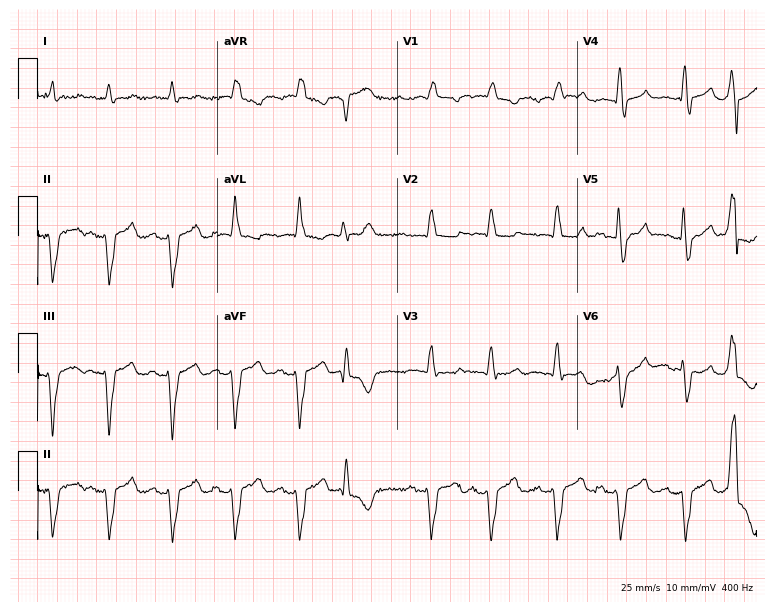
ECG — a man, 67 years old. Findings include right bundle branch block.